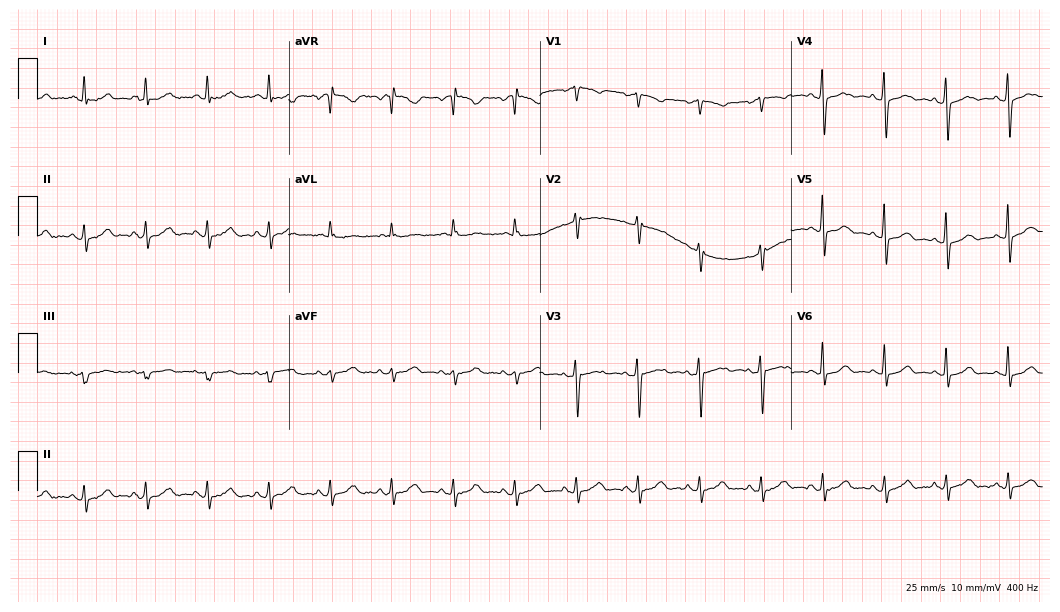
12-lead ECG from a female patient, 69 years old. Labelled as a normal ECG.